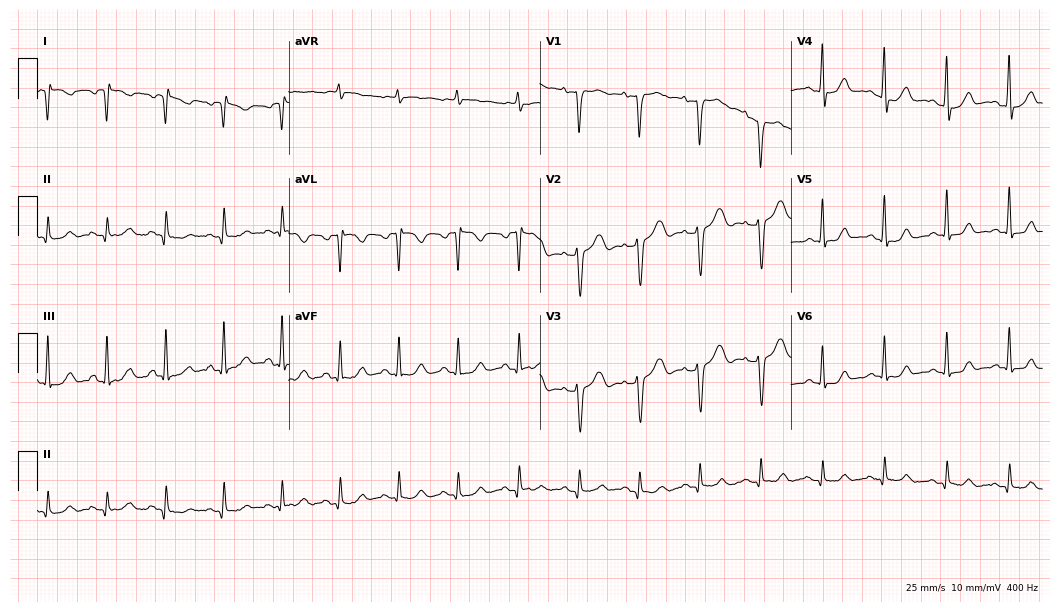
Electrocardiogram (10.2-second recording at 400 Hz), a female, 47 years old. Of the six screened findings (first-degree AV block, right bundle branch block, left bundle branch block, sinus bradycardia, atrial fibrillation, sinus tachycardia), none is recorded. Only these six findings were labelled.